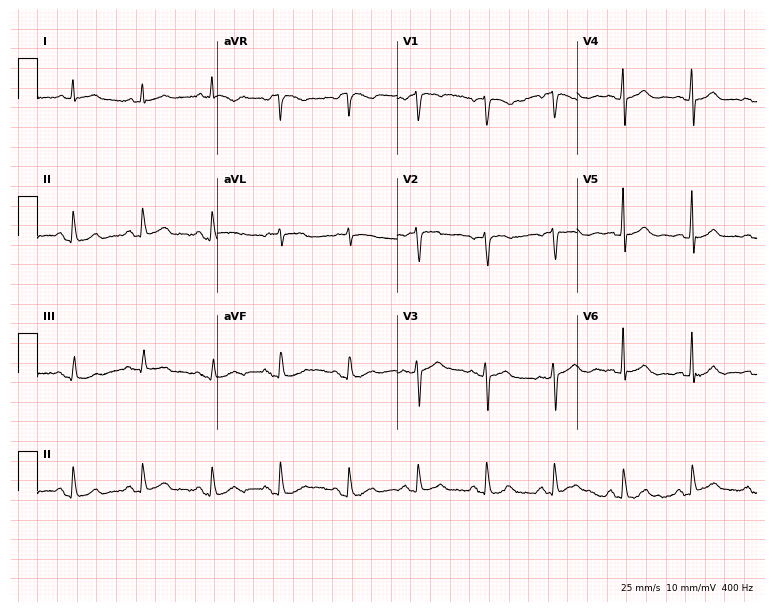
12-lead ECG from a female patient, 66 years old. Screened for six findings — first-degree AV block, right bundle branch block, left bundle branch block, sinus bradycardia, atrial fibrillation, sinus tachycardia — none is recorded.